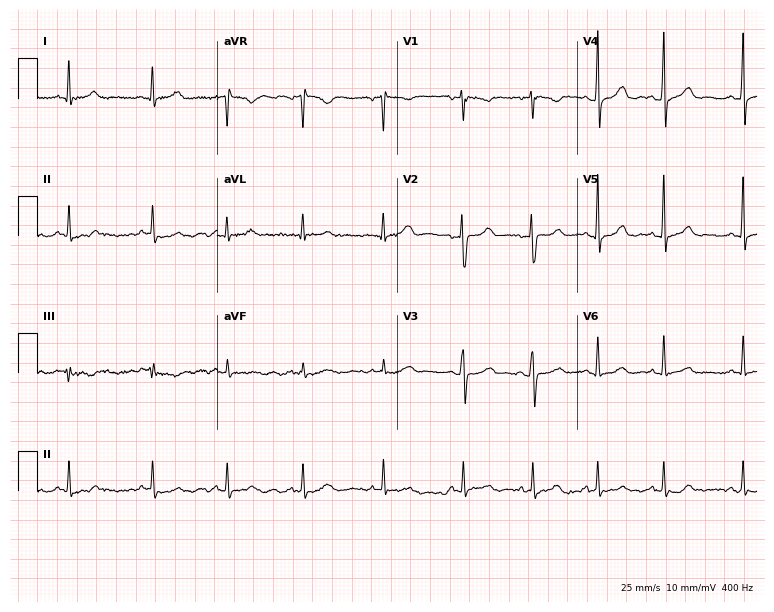
Resting 12-lead electrocardiogram. Patient: a woman, 26 years old. Read as a normal ECG.